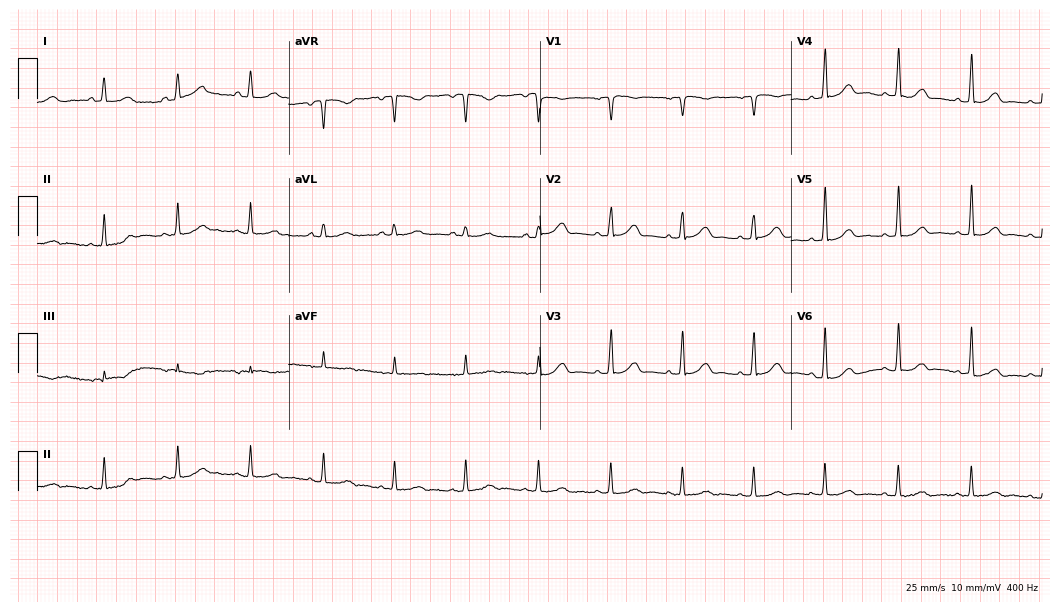
Standard 12-lead ECG recorded from a woman, 54 years old. Read as a normal ECG.